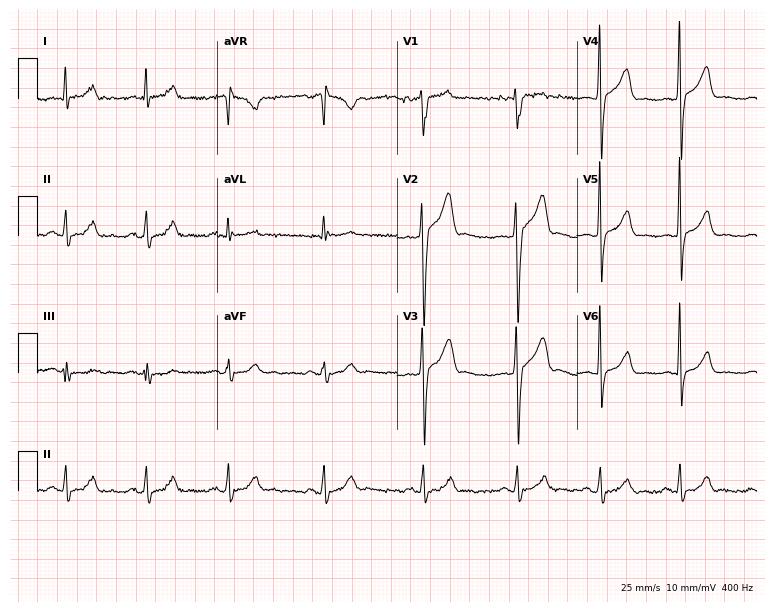
Electrocardiogram, a 29-year-old male patient. Overall reading on record: normal ECG.